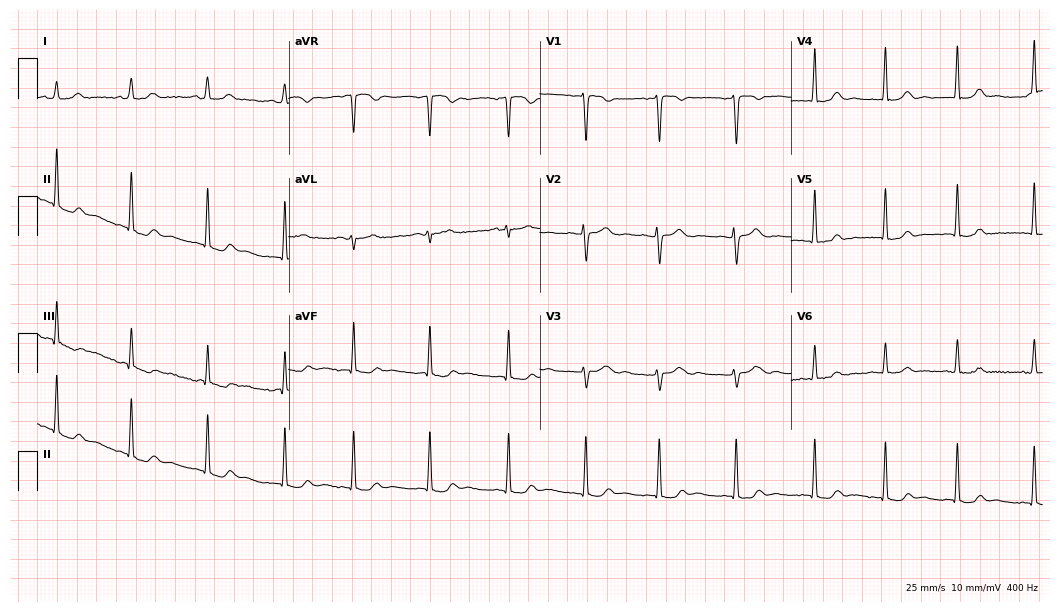
12-lead ECG from a 17-year-old female patient. Labelled as a normal ECG.